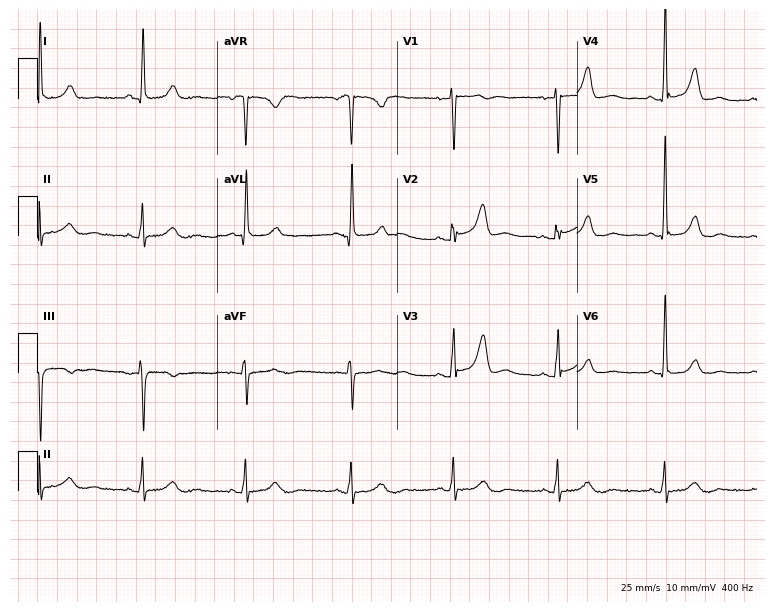
Standard 12-lead ECG recorded from a female patient, 58 years old. None of these six findings is recorded: first-degree AV block, right bundle branch block (RBBB), left bundle branch block (LBBB), sinus bradycardia, atrial fibrillation (AF), sinus tachycardia.